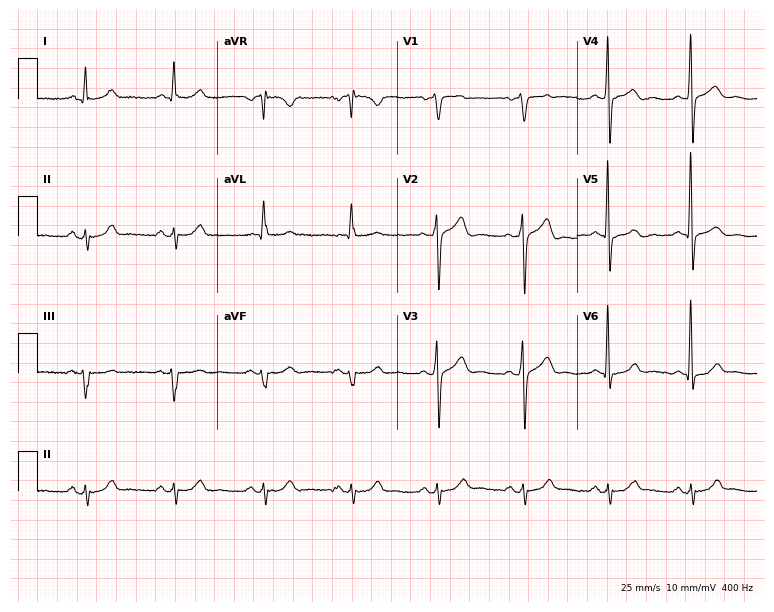
Electrocardiogram, a 63-year-old male patient. Of the six screened findings (first-degree AV block, right bundle branch block, left bundle branch block, sinus bradycardia, atrial fibrillation, sinus tachycardia), none is recorded.